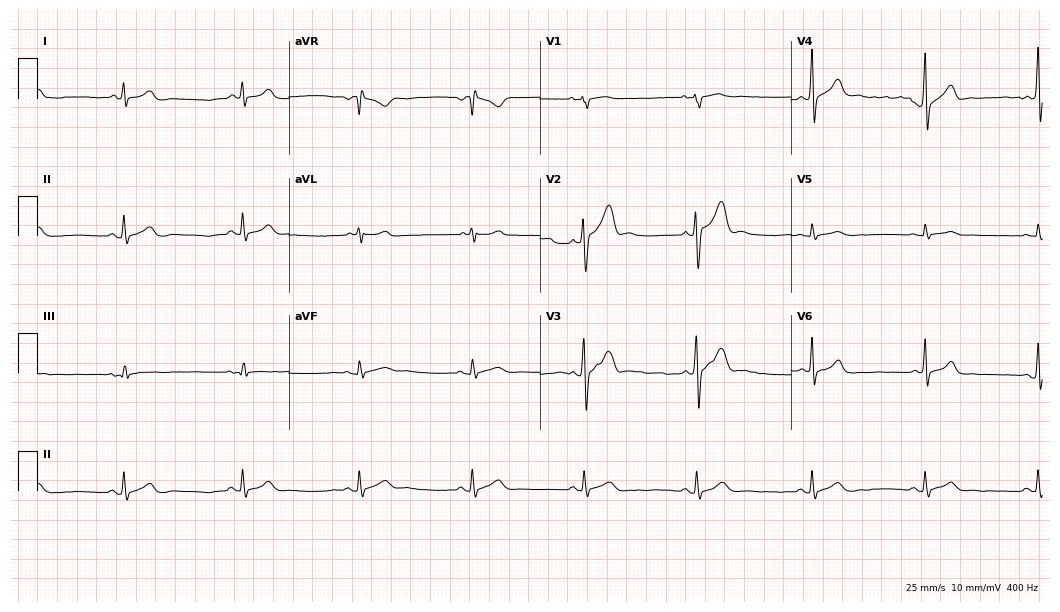
Electrocardiogram (10.2-second recording at 400 Hz), a 32-year-old male. Of the six screened findings (first-degree AV block, right bundle branch block, left bundle branch block, sinus bradycardia, atrial fibrillation, sinus tachycardia), none is recorded. Only these six findings were labelled.